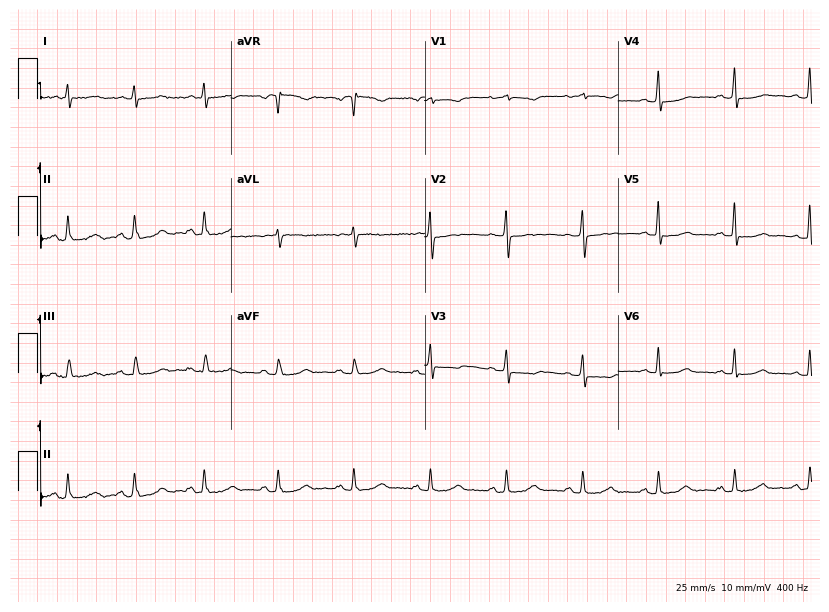
Standard 12-lead ECG recorded from a woman, 57 years old. None of these six findings is recorded: first-degree AV block, right bundle branch block, left bundle branch block, sinus bradycardia, atrial fibrillation, sinus tachycardia. Only these six findings were labelled.